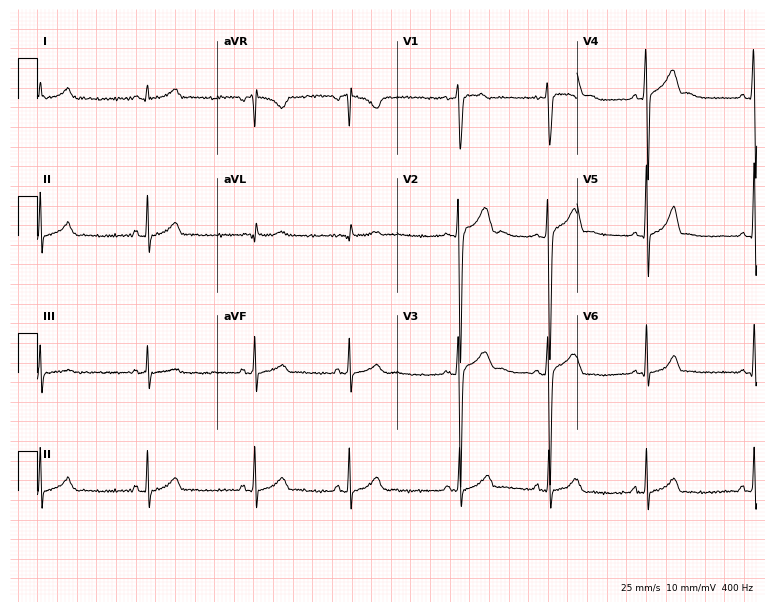
Electrocardiogram, an 18-year-old male patient. Overall reading on record: normal ECG.